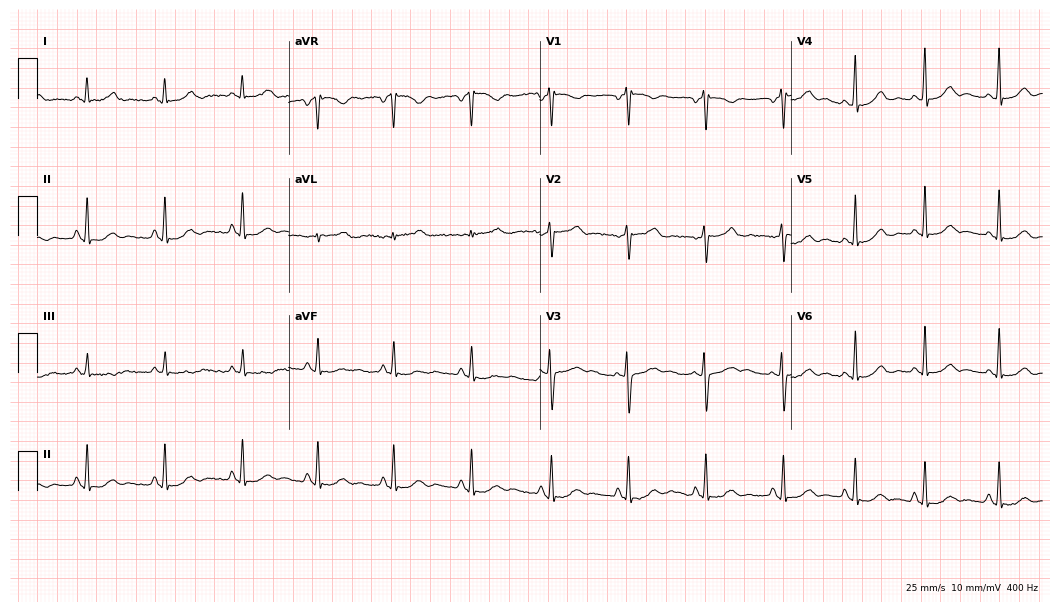
ECG (10.2-second recording at 400 Hz) — a woman, 19 years old. Screened for six findings — first-degree AV block, right bundle branch block (RBBB), left bundle branch block (LBBB), sinus bradycardia, atrial fibrillation (AF), sinus tachycardia — none is recorded. Findings outside these six are not listed.